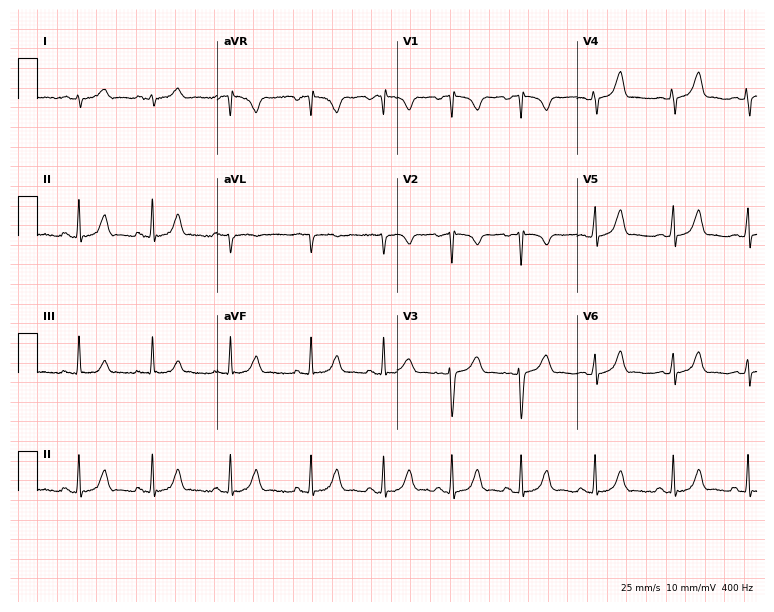
Standard 12-lead ECG recorded from a female, 22 years old. None of these six findings is recorded: first-degree AV block, right bundle branch block, left bundle branch block, sinus bradycardia, atrial fibrillation, sinus tachycardia. Findings outside these six are not listed.